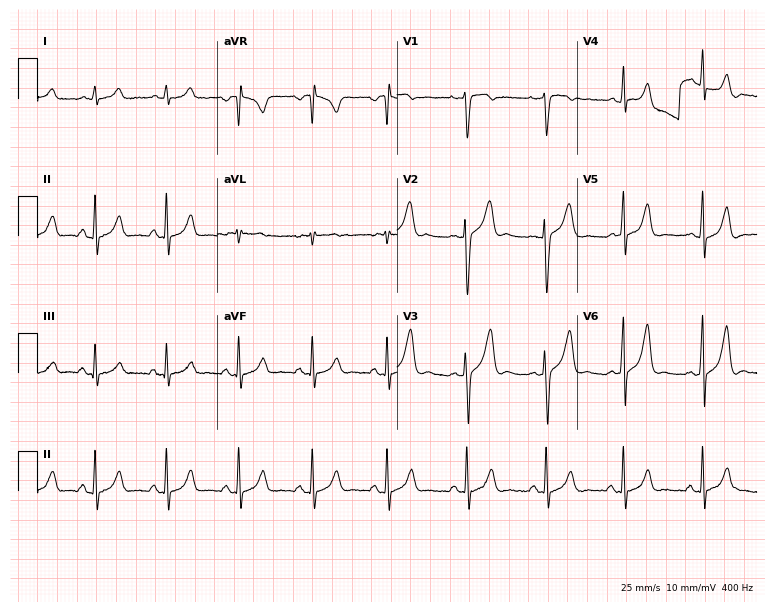
12-lead ECG from a 37-year-old man. Recorded interpretation: within normal limits.